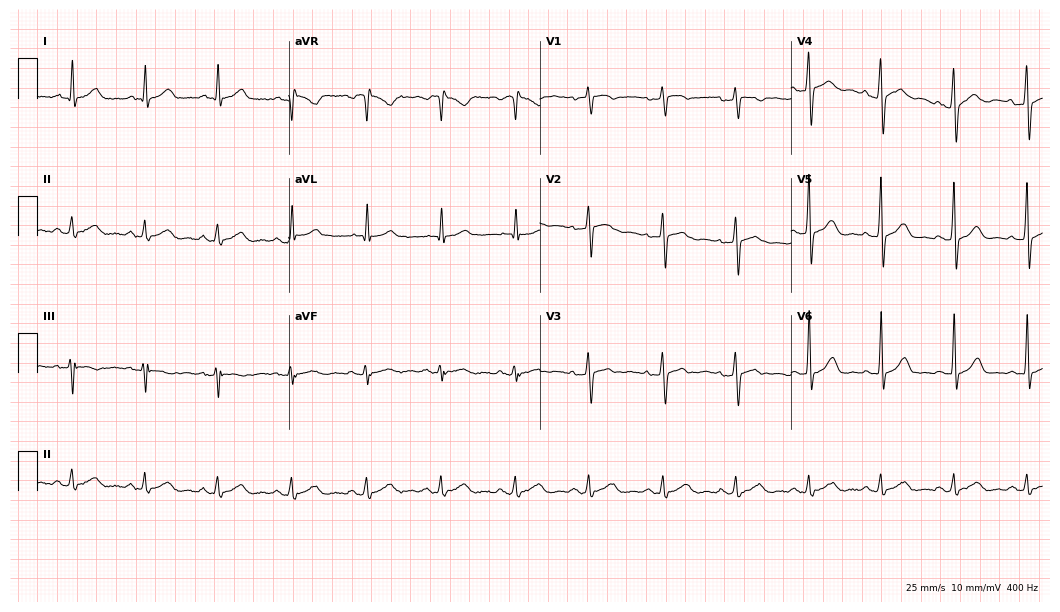
Standard 12-lead ECG recorded from a male, 54 years old. Read as a normal ECG.